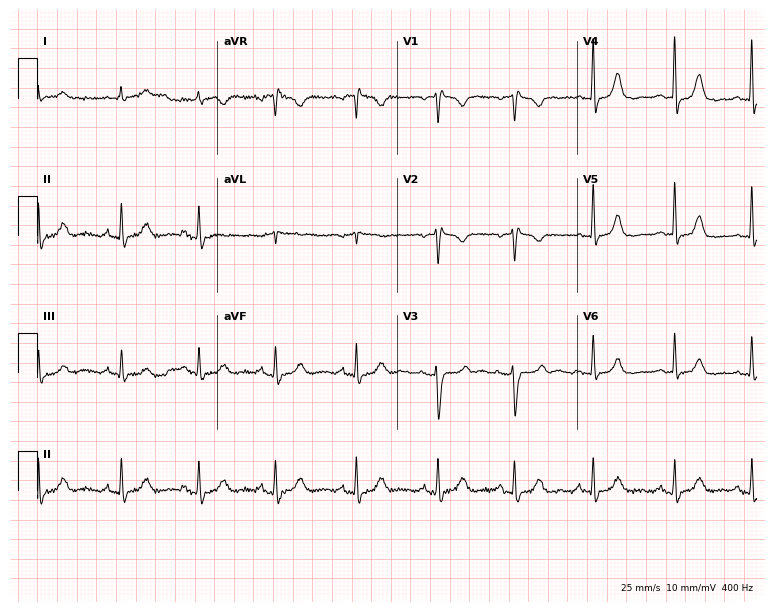
Resting 12-lead electrocardiogram. Patient: a 36-year-old female. None of these six findings is recorded: first-degree AV block, right bundle branch block, left bundle branch block, sinus bradycardia, atrial fibrillation, sinus tachycardia. Only these six findings were labelled.